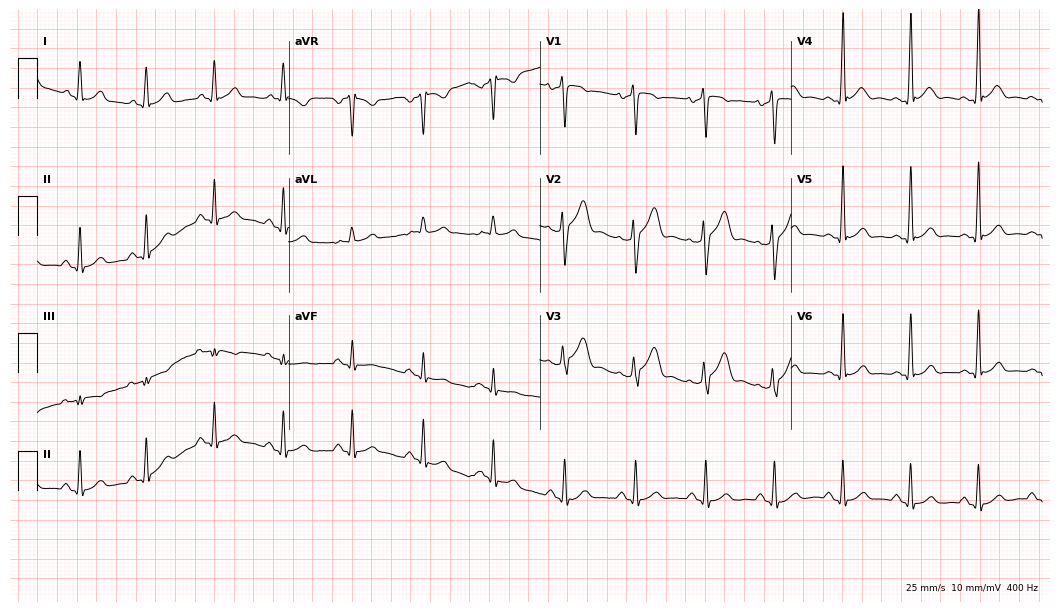
Resting 12-lead electrocardiogram. Patient: a man, 42 years old. None of these six findings is recorded: first-degree AV block, right bundle branch block, left bundle branch block, sinus bradycardia, atrial fibrillation, sinus tachycardia.